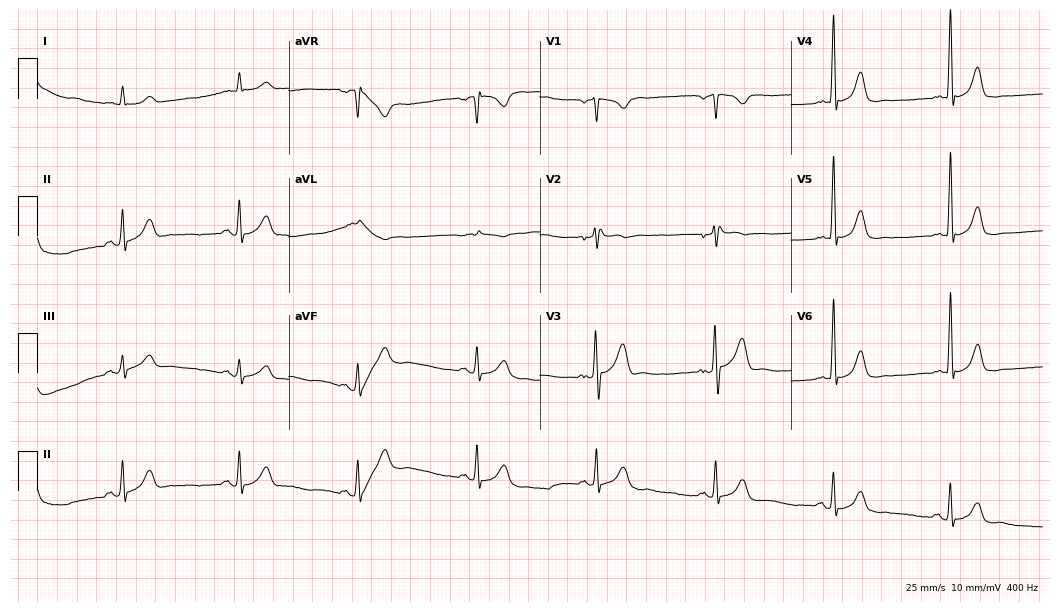
Resting 12-lead electrocardiogram. Patient: a man, 76 years old. The tracing shows sinus bradycardia (a sinus rate of 50 beats per minute or less).